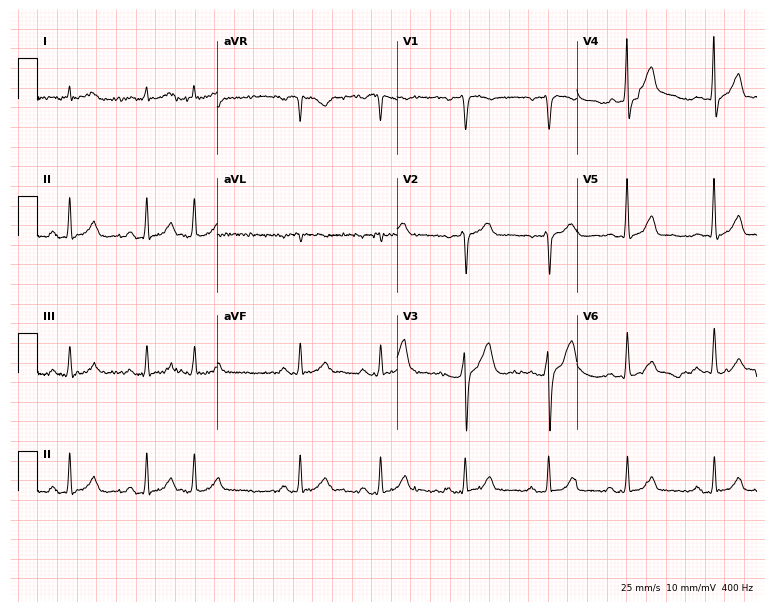
12-lead ECG from a 56-year-old male (7.3-second recording at 400 Hz). No first-degree AV block, right bundle branch block, left bundle branch block, sinus bradycardia, atrial fibrillation or sinus tachycardia recorded for this tracing. Only these six findings were labelled.